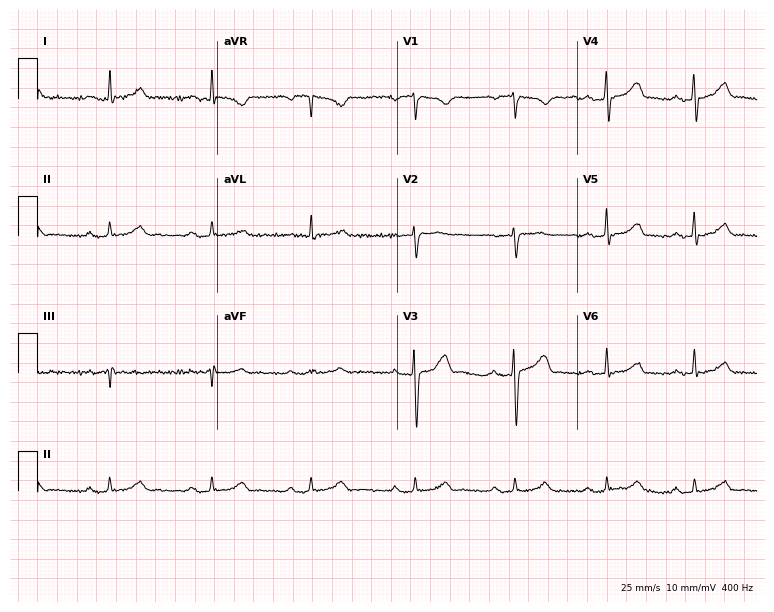
12-lead ECG from a male, 48 years old. Recorded interpretation: within normal limits.